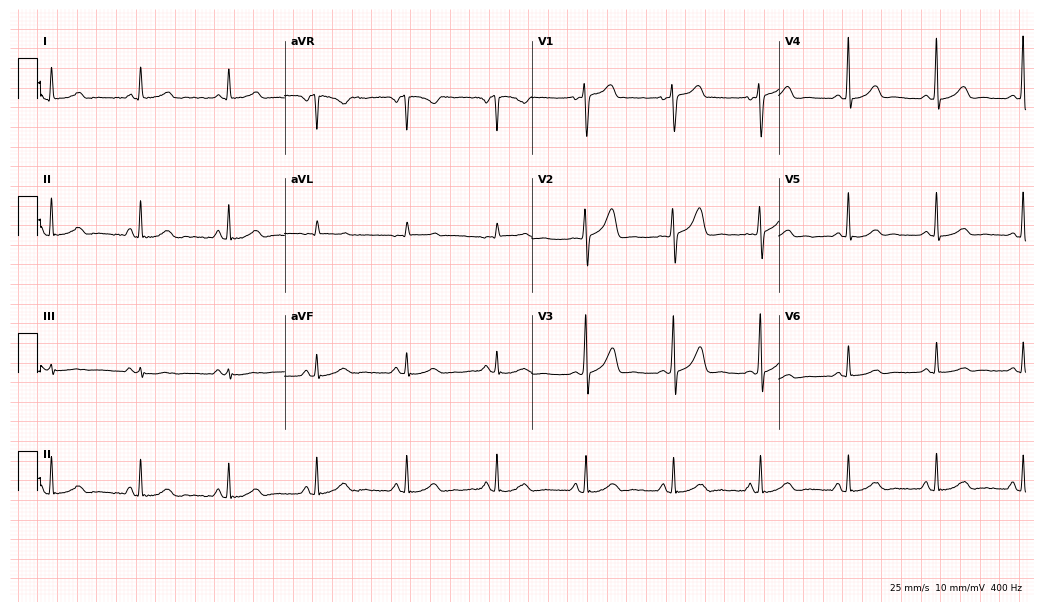
12-lead ECG from a 61-year-old male patient. Labelled as a normal ECG.